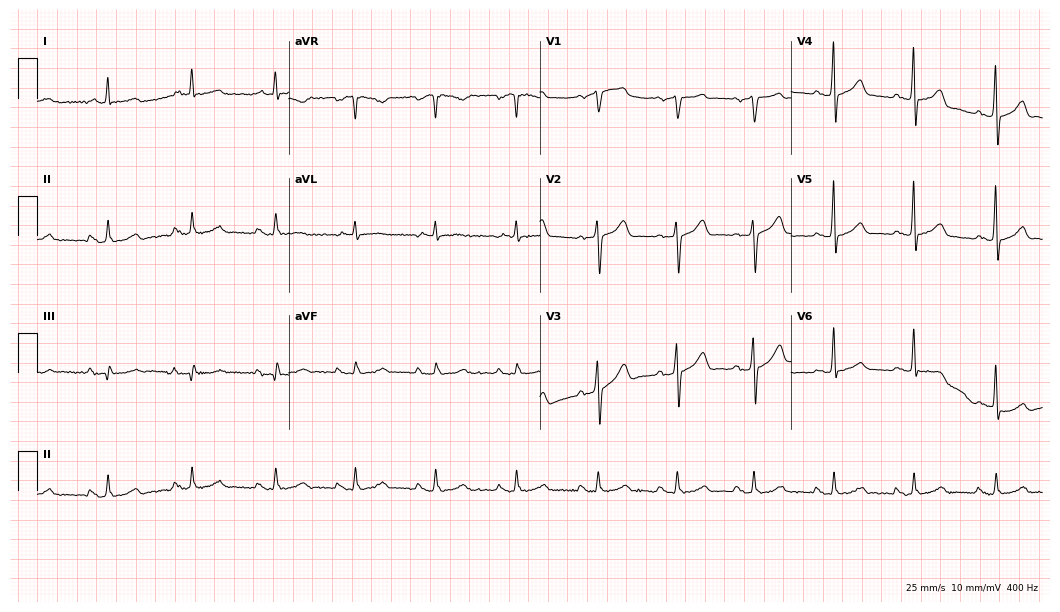
ECG (10.2-second recording at 400 Hz) — a 68-year-old man. Screened for six findings — first-degree AV block, right bundle branch block (RBBB), left bundle branch block (LBBB), sinus bradycardia, atrial fibrillation (AF), sinus tachycardia — none is recorded.